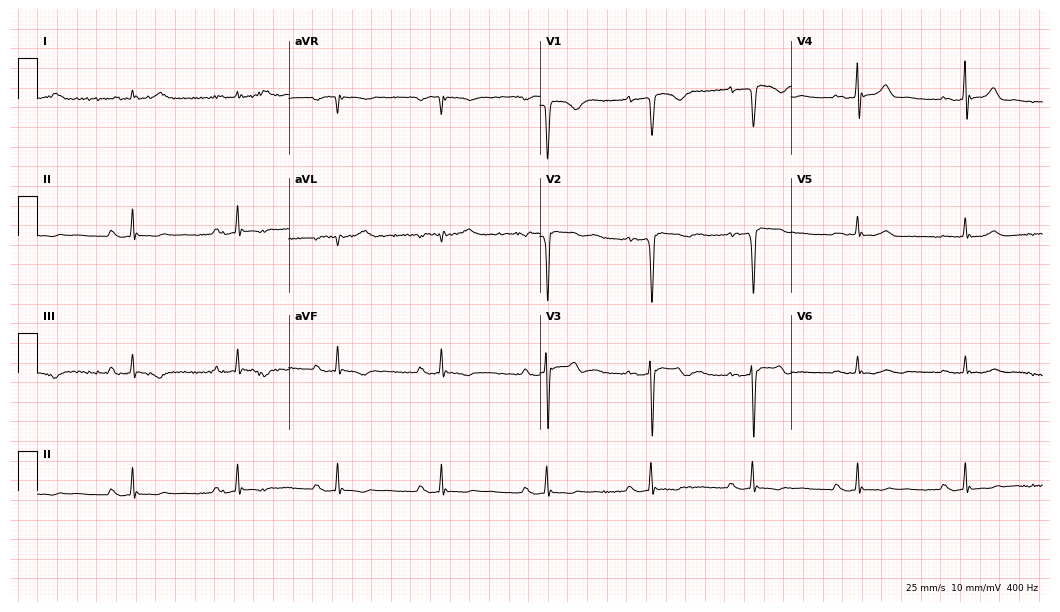
12-lead ECG (10.2-second recording at 400 Hz) from a 58-year-old man. Findings include first-degree AV block.